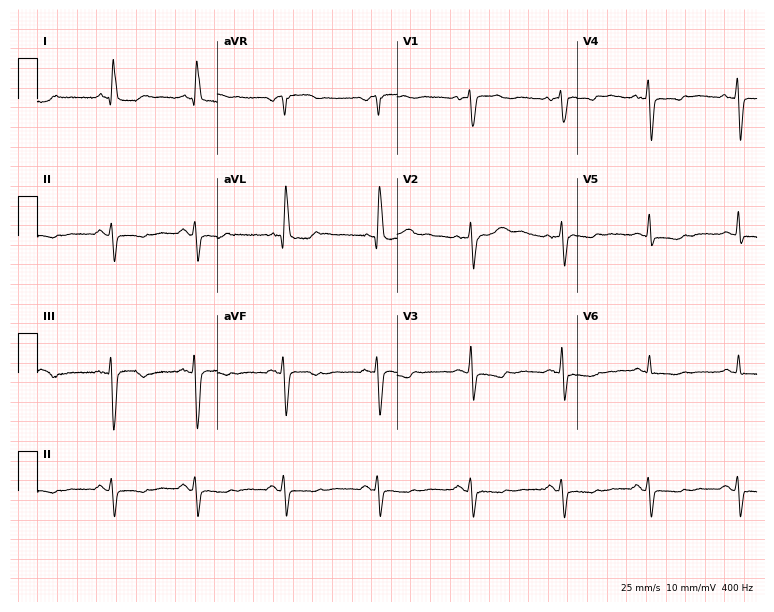
ECG — a woman, 59 years old. Screened for six findings — first-degree AV block, right bundle branch block, left bundle branch block, sinus bradycardia, atrial fibrillation, sinus tachycardia — none is recorded. Findings outside these six are not listed.